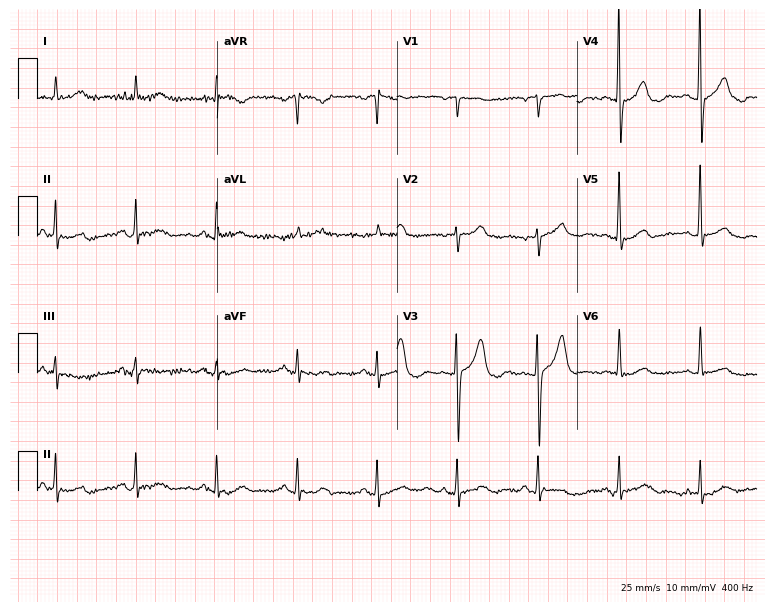
12-lead ECG from an 83-year-old female patient (7.3-second recording at 400 Hz). Recorded interpretation: within normal limits.